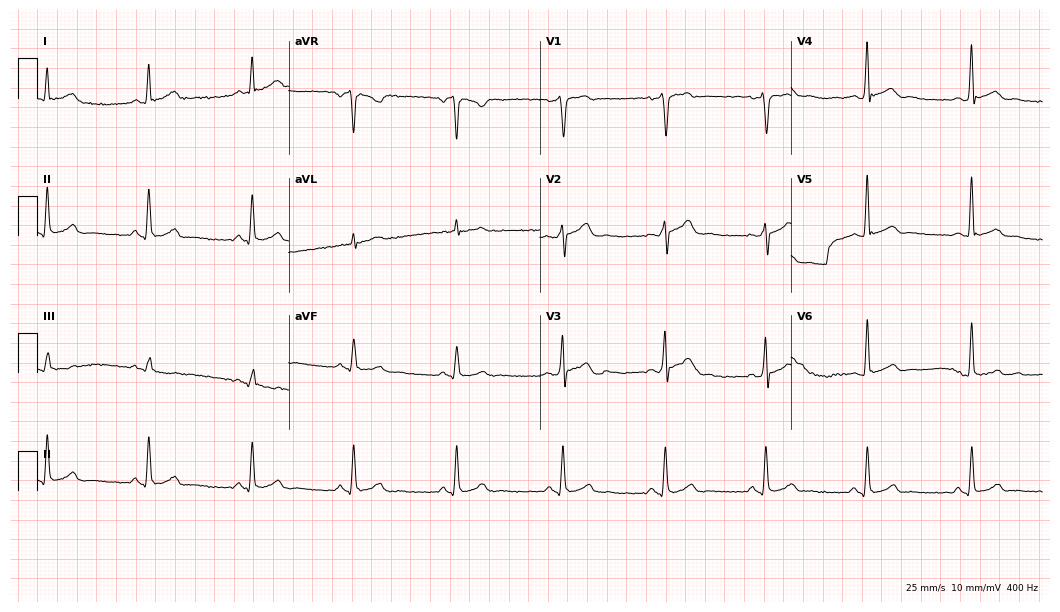
12-lead ECG from a 47-year-old male (10.2-second recording at 400 Hz). No first-degree AV block, right bundle branch block, left bundle branch block, sinus bradycardia, atrial fibrillation or sinus tachycardia recorded for this tracing. Findings outside these six are not listed.